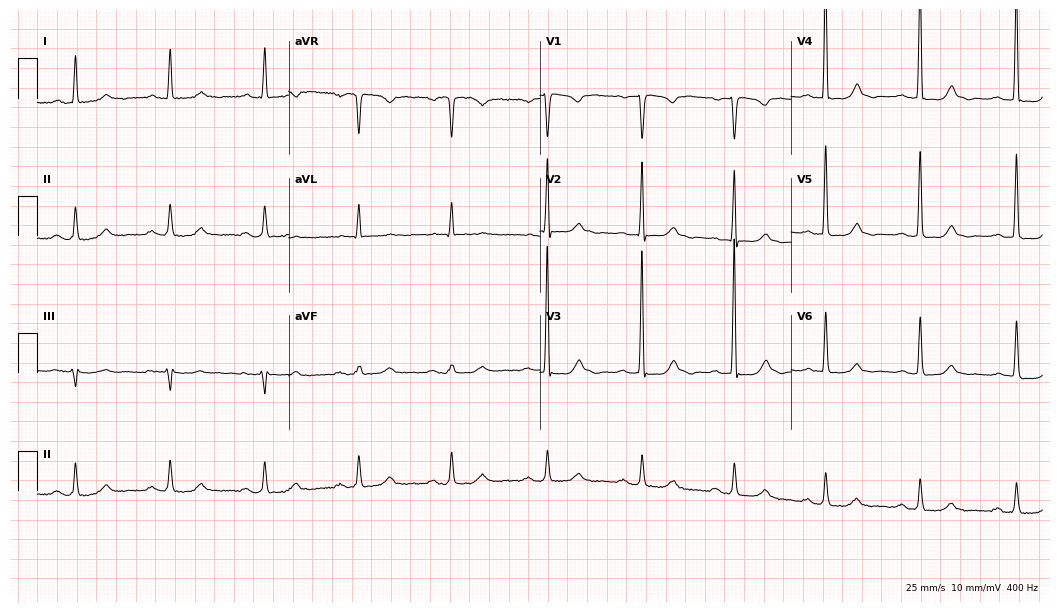
ECG — a 59-year-old female patient. Labelled as a normal ECG.